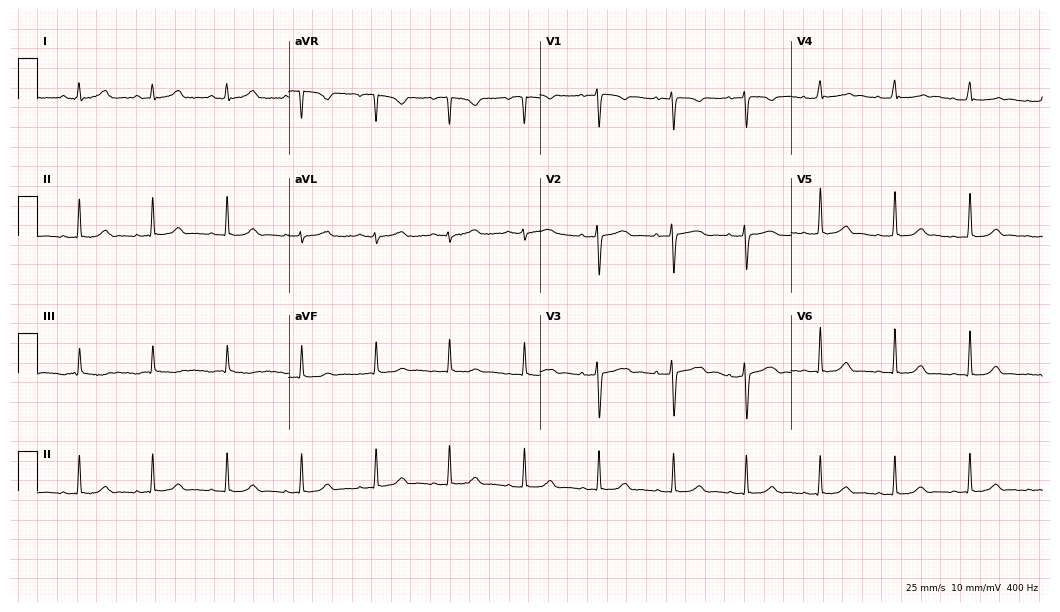
12-lead ECG from a woman, 28 years old (10.2-second recording at 400 Hz). No first-degree AV block, right bundle branch block (RBBB), left bundle branch block (LBBB), sinus bradycardia, atrial fibrillation (AF) or sinus tachycardia recorded for this tracing.